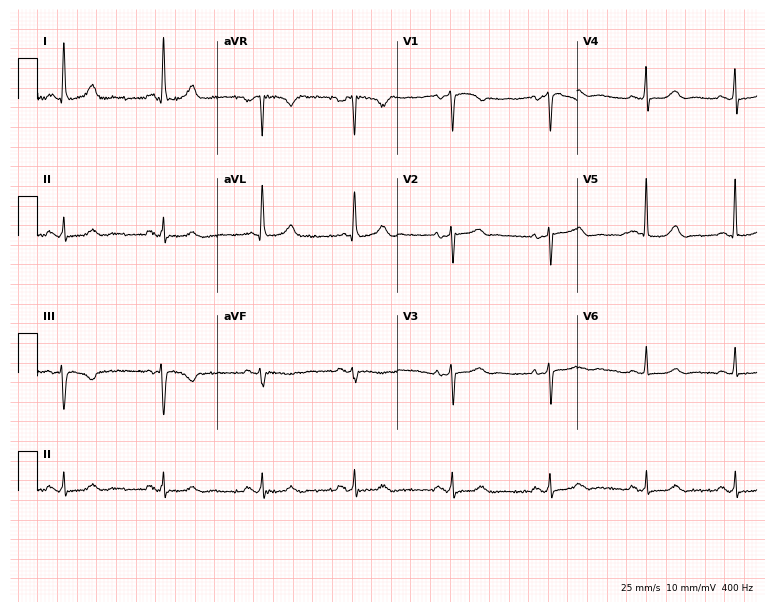
Resting 12-lead electrocardiogram. Patient: a woman, 60 years old. Read as a normal ECG.